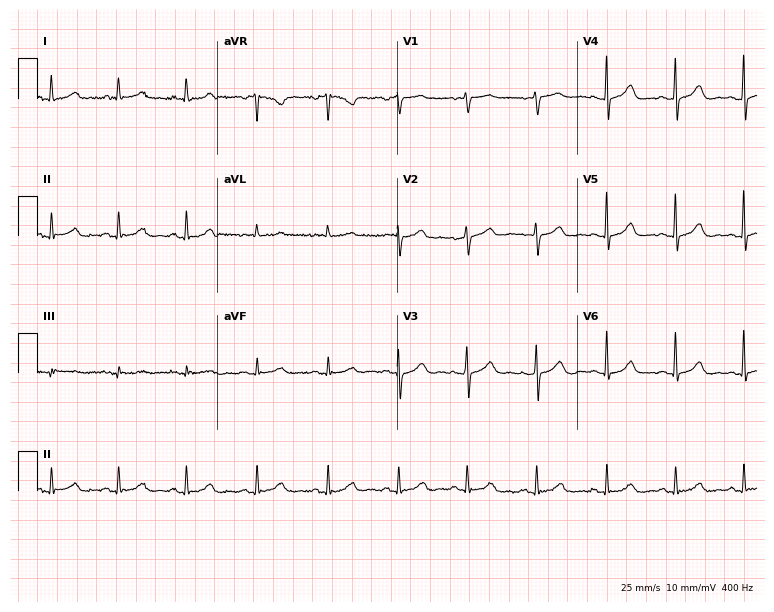
12-lead ECG (7.3-second recording at 400 Hz) from a 75-year-old female. Labelled as a normal ECG.